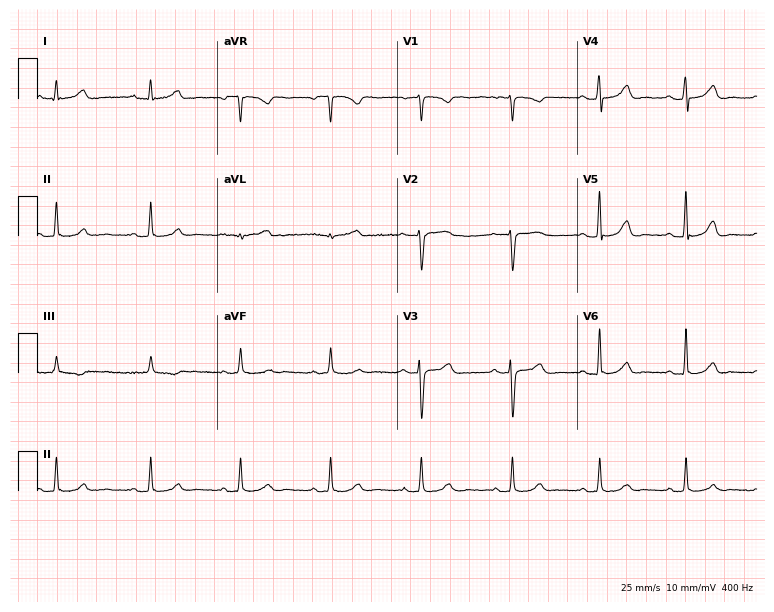
ECG (7.3-second recording at 400 Hz) — a female patient, 39 years old. Labelled as a normal ECG.